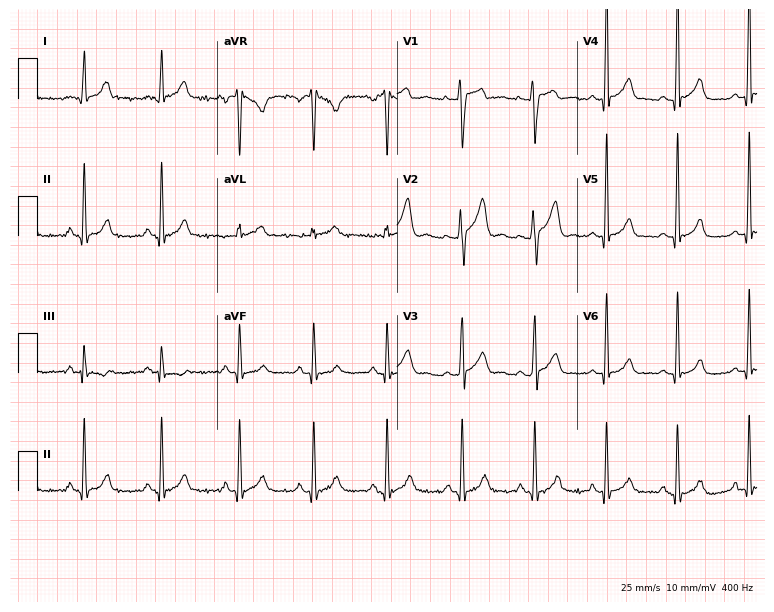
Resting 12-lead electrocardiogram (7.3-second recording at 400 Hz). Patient: a man, 27 years old. Read as a normal ECG.